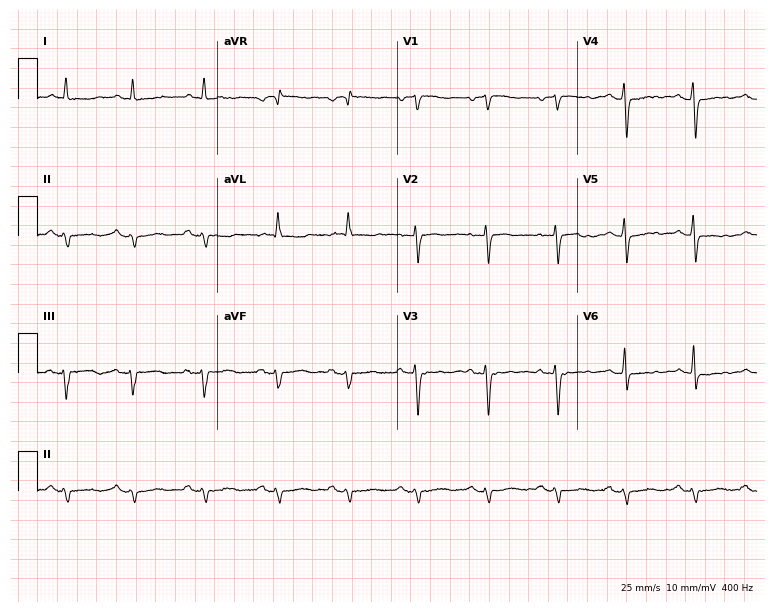
Resting 12-lead electrocardiogram. Patient: a female, 80 years old. None of these six findings is recorded: first-degree AV block, right bundle branch block, left bundle branch block, sinus bradycardia, atrial fibrillation, sinus tachycardia.